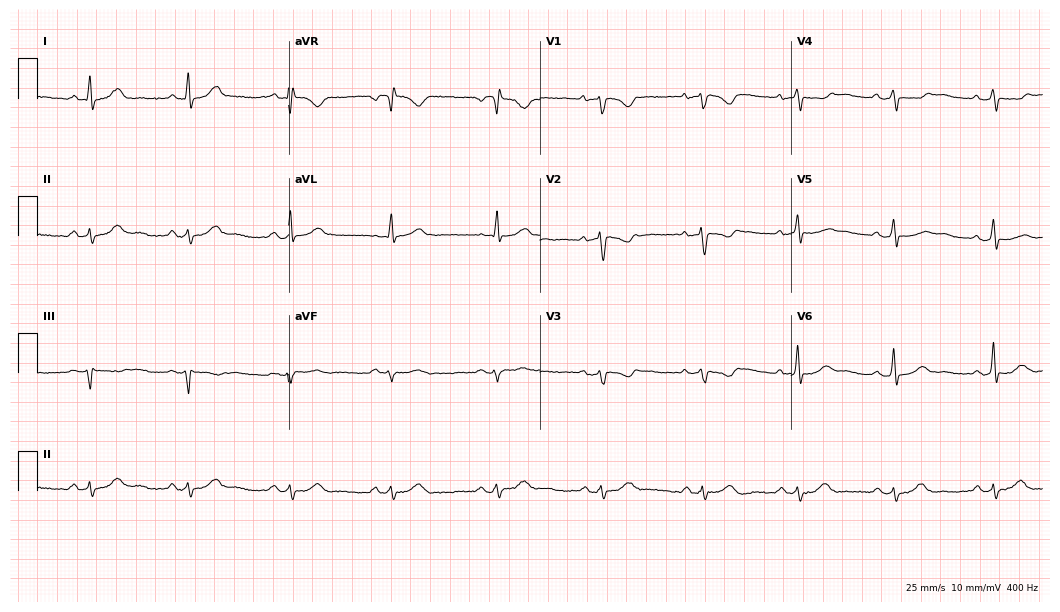
12-lead ECG (10.2-second recording at 400 Hz) from a 55-year-old female patient. Screened for six findings — first-degree AV block, right bundle branch block, left bundle branch block, sinus bradycardia, atrial fibrillation, sinus tachycardia — none is recorded.